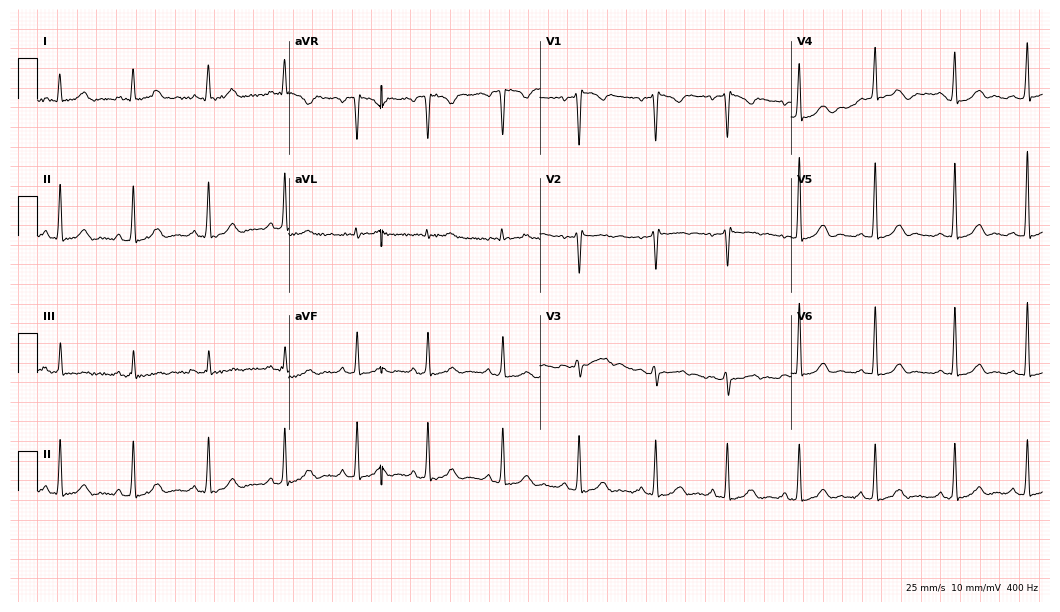
ECG (10.2-second recording at 400 Hz) — a 39-year-old woman. Labelled as a normal ECG.